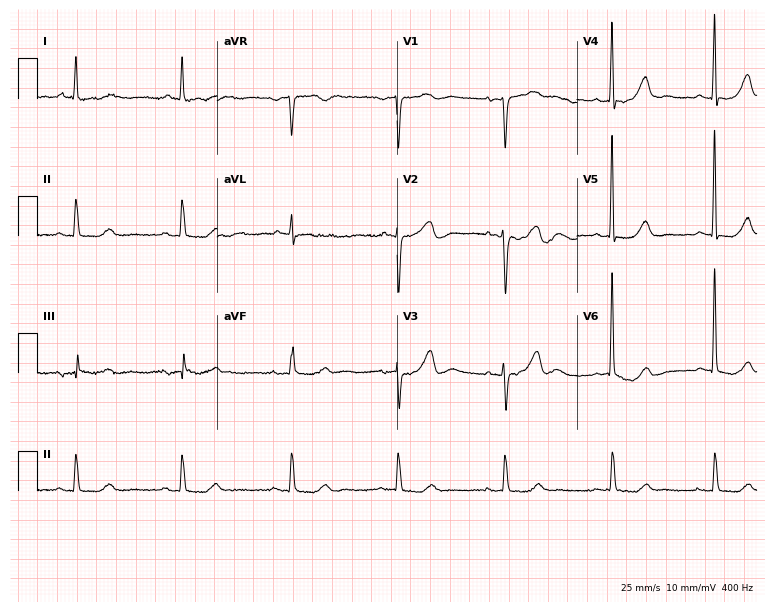
12-lead ECG from a woman, 67 years old (7.3-second recording at 400 Hz). No first-degree AV block, right bundle branch block, left bundle branch block, sinus bradycardia, atrial fibrillation or sinus tachycardia recorded for this tracing. Findings outside these six are not listed.